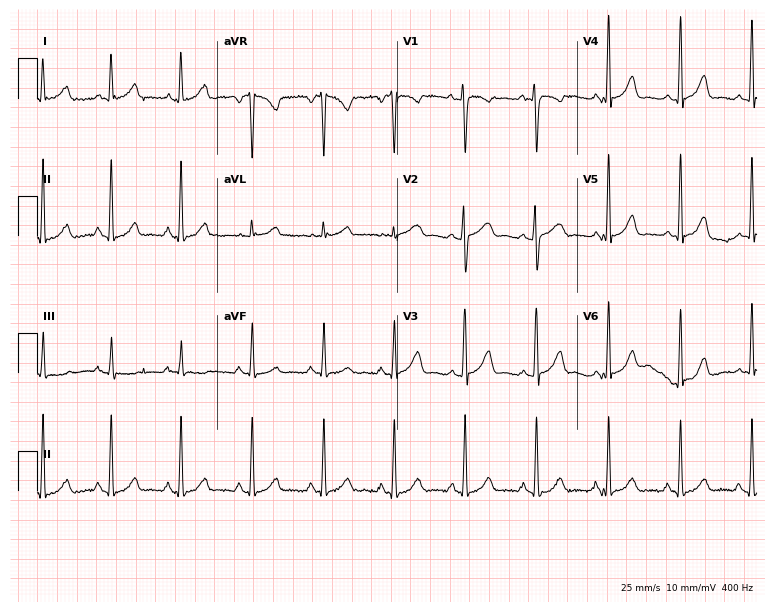
12-lead ECG from a 31-year-old female. Screened for six findings — first-degree AV block, right bundle branch block (RBBB), left bundle branch block (LBBB), sinus bradycardia, atrial fibrillation (AF), sinus tachycardia — none is recorded.